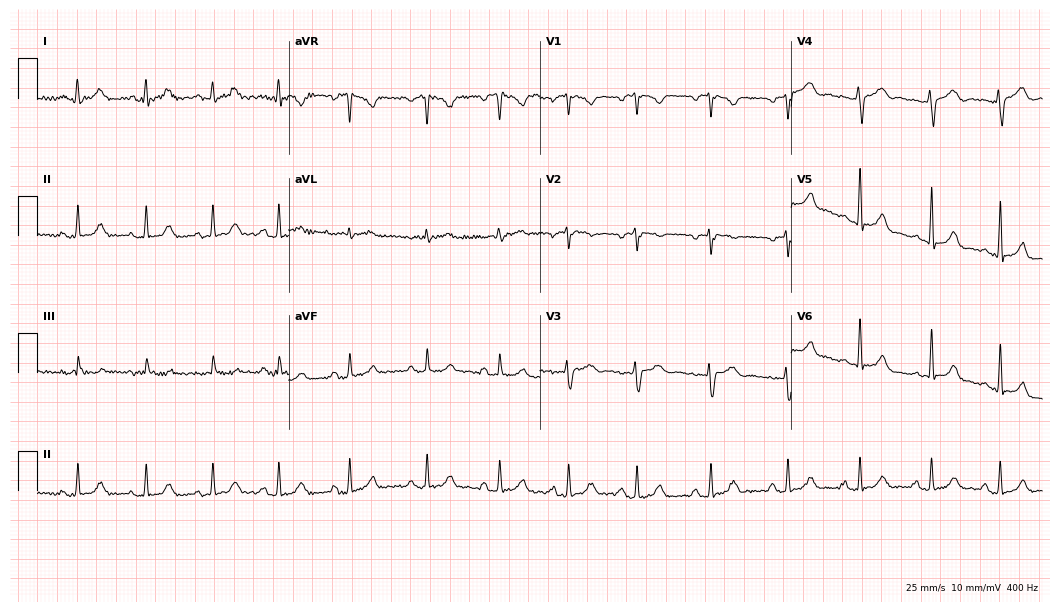
12-lead ECG from a 28-year-old female. Labelled as a normal ECG.